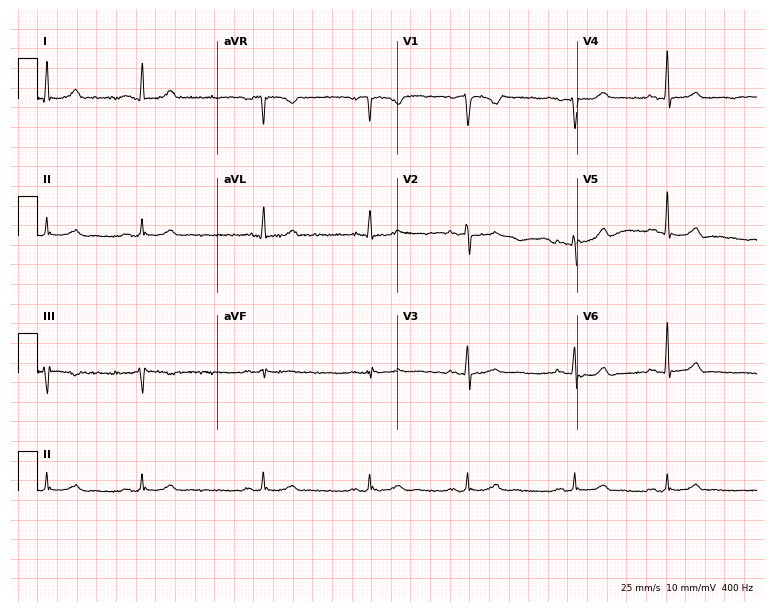
12-lead ECG (7.3-second recording at 400 Hz) from a 37-year-old woman. Labelled as a normal ECG.